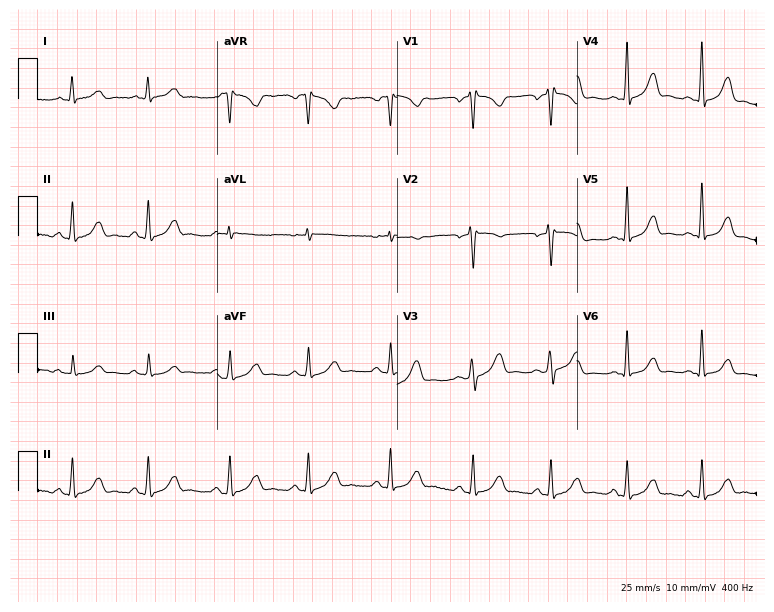
Standard 12-lead ECG recorded from a female patient, 29 years old. None of these six findings is recorded: first-degree AV block, right bundle branch block, left bundle branch block, sinus bradycardia, atrial fibrillation, sinus tachycardia. Only these six findings were labelled.